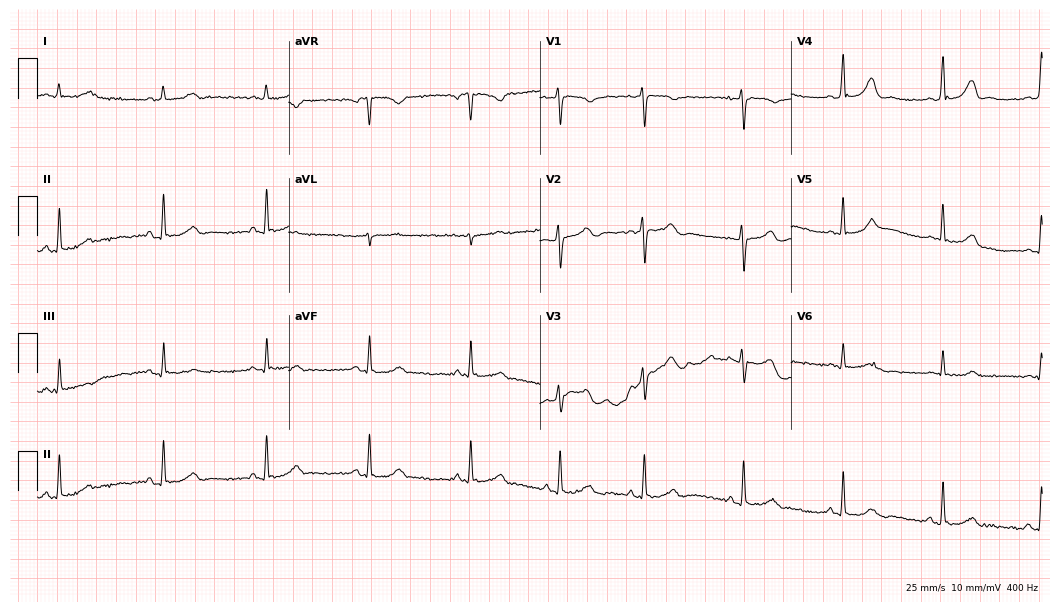
Standard 12-lead ECG recorded from a 34-year-old female patient (10.2-second recording at 400 Hz). Read as a normal ECG.